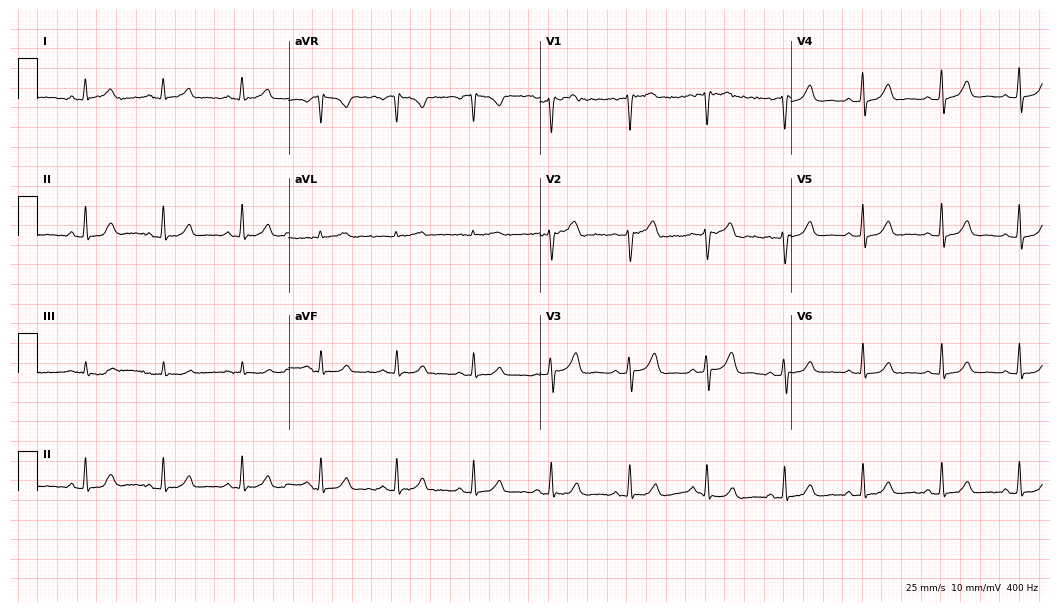
Resting 12-lead electrocardiogram. Patient: a female, 43 years old. Read as a normal ECG.